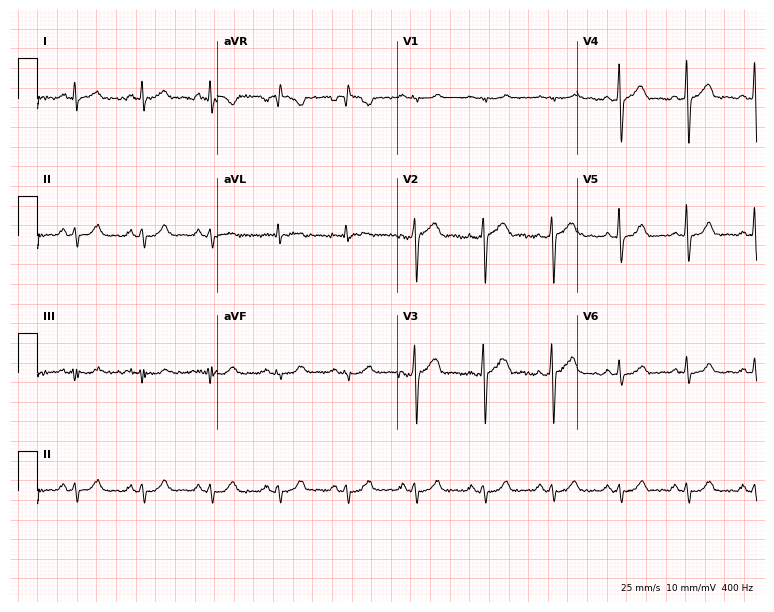
Resting 12-lead electrocardiogram (7.3-second recording at 400 Hz). Patient: a male, 54 years old. None of these six findings is recorded: first-degree AV block, right bundle branch block, left bundle branch block, sinus bradycardia, atrial fibrillation, sinus tachycardia. Findings outside these six are not listed.